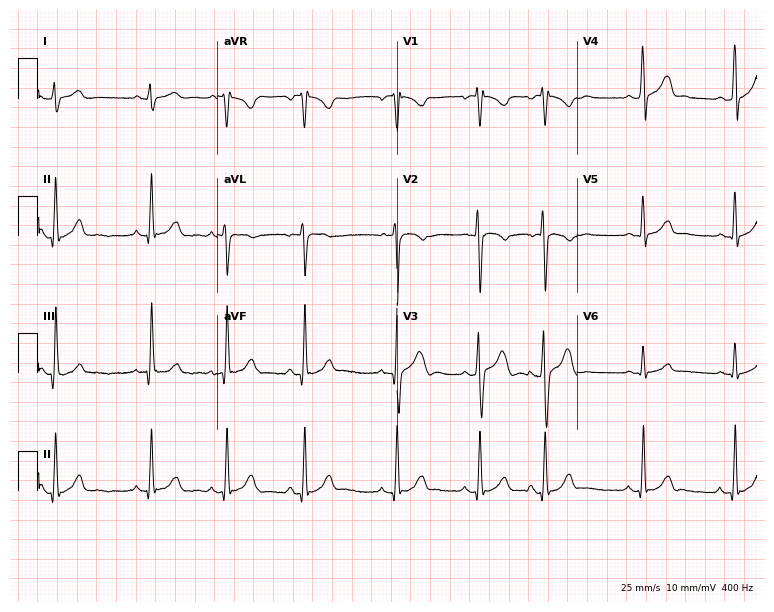
Electrocardiogram (7.3-second recording at 400 Hz), a male patient, 18 years old. Overall reading on record: normal ECG.